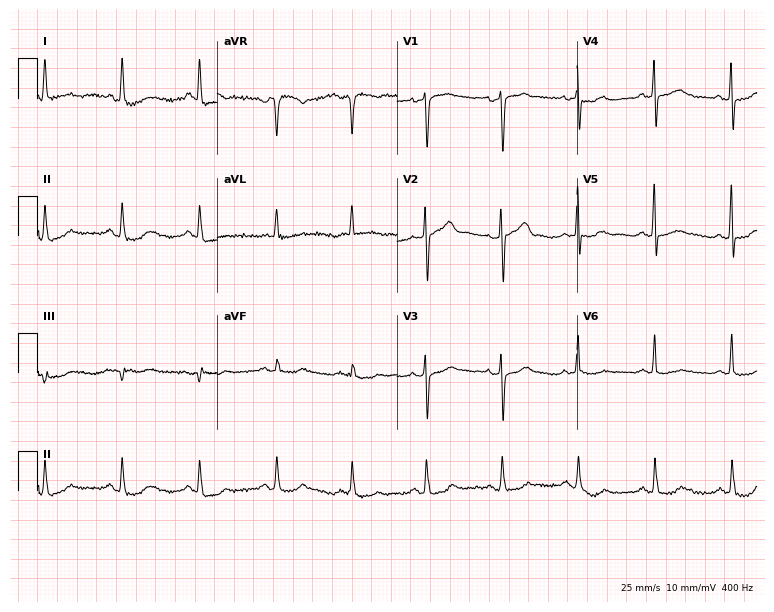
12-lead ECG from a 67-year-old woman (7.3-second recording at 400 Hz). Recorded interpretation: within normal limits.